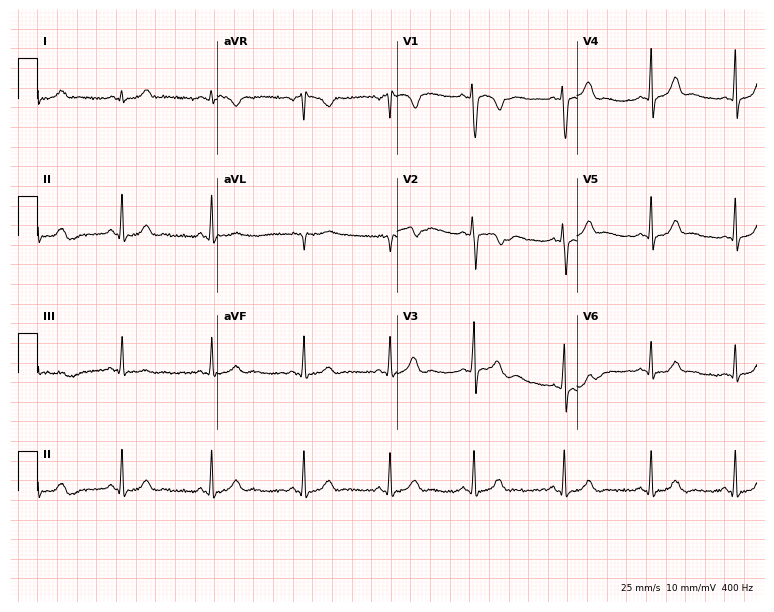
Resting 12-lead electrocardiogram. Patient: a 17-year-old woman. Read as a normal ECG.